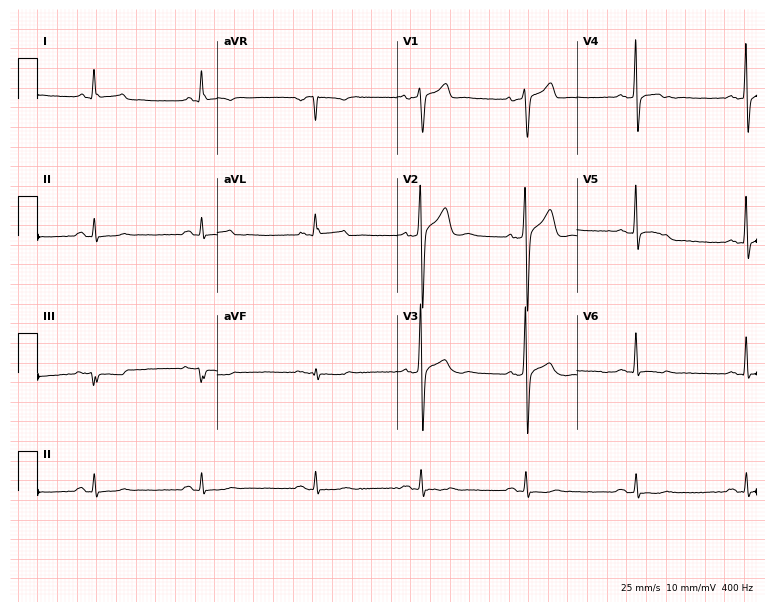
Resting 12-lead electrocardiogram. Patient: a 37-year-old male. None of these six findings is recorded: first-degree AV block, right bundle branch block, left bundle branch block, sinus bradycardia, atrial fibrillation, sinus tachycardia. Findings outside these six are not listed.